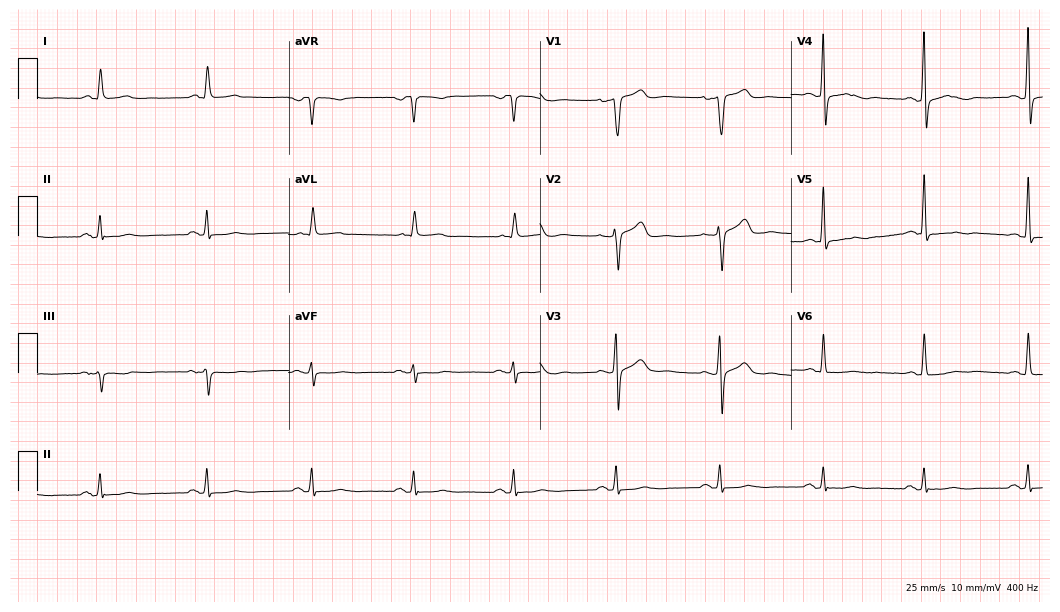
Electrocardiogram (10.2-second recording at 400 Hz), a male, 64 years old. Of the six screened findings (first-degree AV block, right bundle branch block, left bundle branch block, sinus bradycardia, atrial fibrillation, sinus tachycardia), none is recorded. Findings outside these six are not listed.